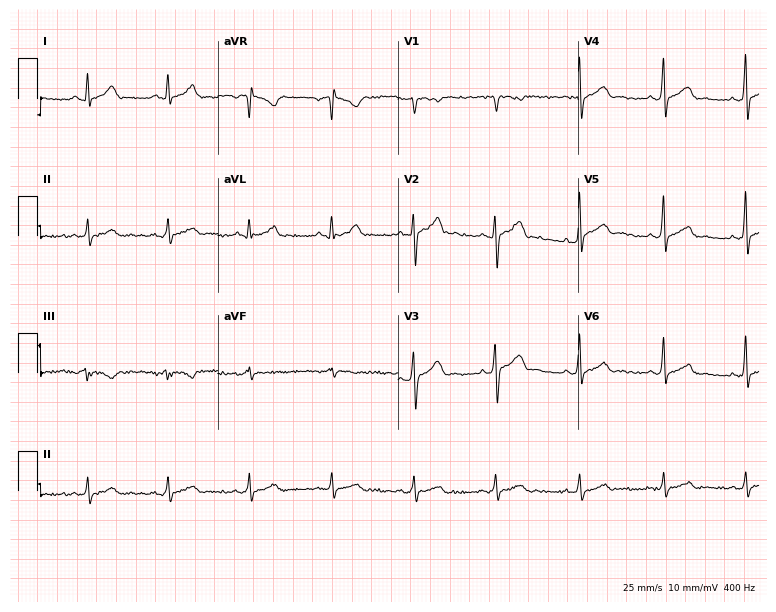
Standard 12-lead ECG recorded from a male patient, 36 years old. Read as a normal ECG.